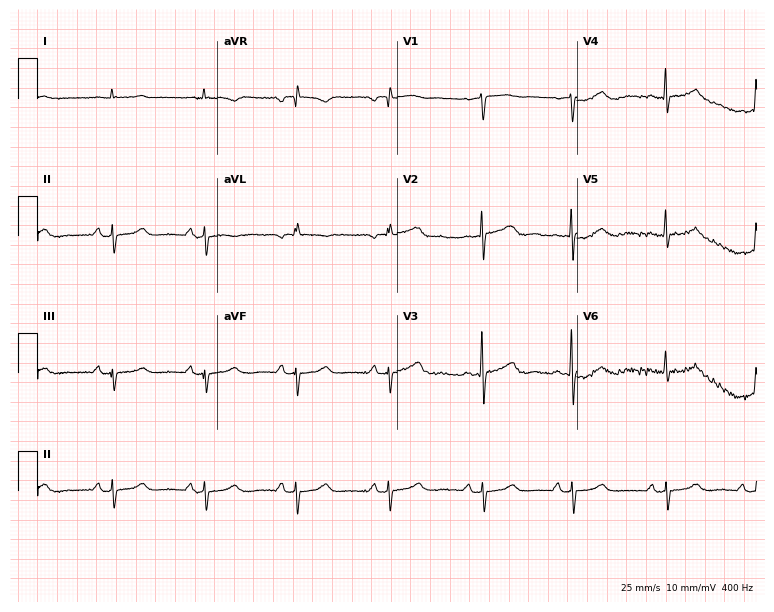
Resting 12-lead electrocardiogram. Patient: a male, 82 years old. None of these six findings is recorded: first-degree AV block, right bundle branch block, left bundle branch block, sinus bradycardia, atrial fibrillation, sinus tachycardia.